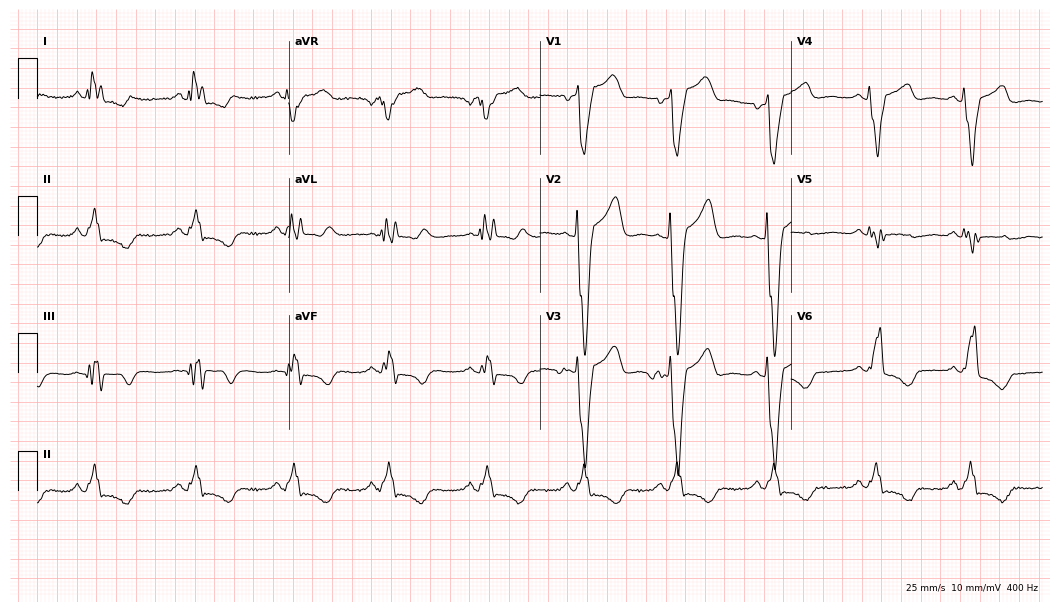
Standard 12-lead ECG recorded from a male, 60 years old. None of these six findings is recorded: first-degree AV block, right bundle branch block, left bundle branch block, sinus bradycardia, atrial fibrillation, sinus tachycardia. Only these six findings were labelled.